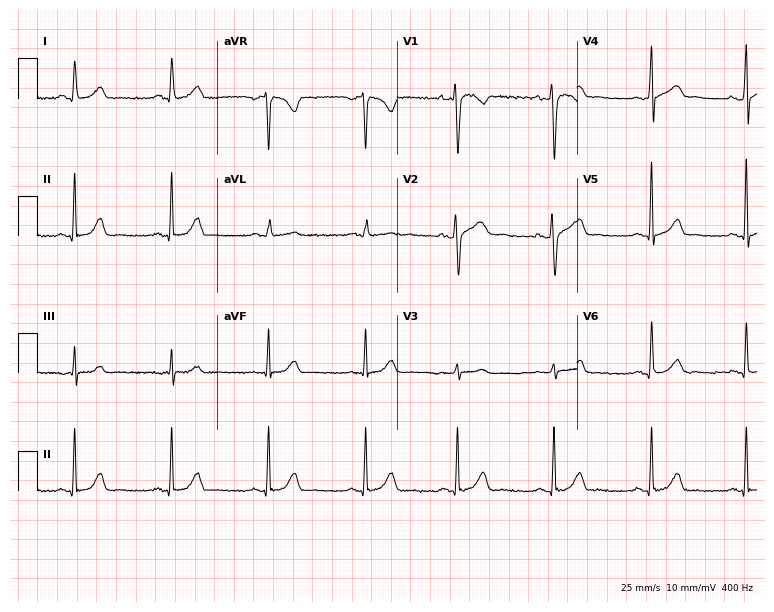
Resting 12-lead electrocardiogram (7.3-second recording at 400 Hz). Patient: a 29-year-old woman. None of these six findings is recorded: first-degree AV block, right bundle branch block (RBBB), left bundle branch block (LBBB), sinus bradycardia, atrial fibrillation (AF), sinus tachycardia.